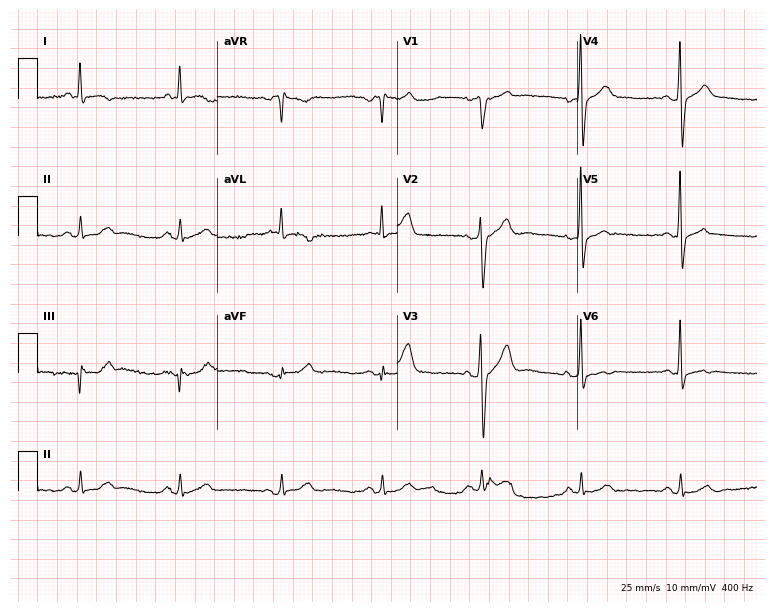
12-lead ECG (7.3-second recording at 400 Hz) from a male, 68 years old. Screened for six findings — first-degree AV block, right bundle branch block (RBBB), left bundle branch block (LBBB), sinus bradycardia, atrial fibrillation (AF), sinus tachycardia — none is recorded.